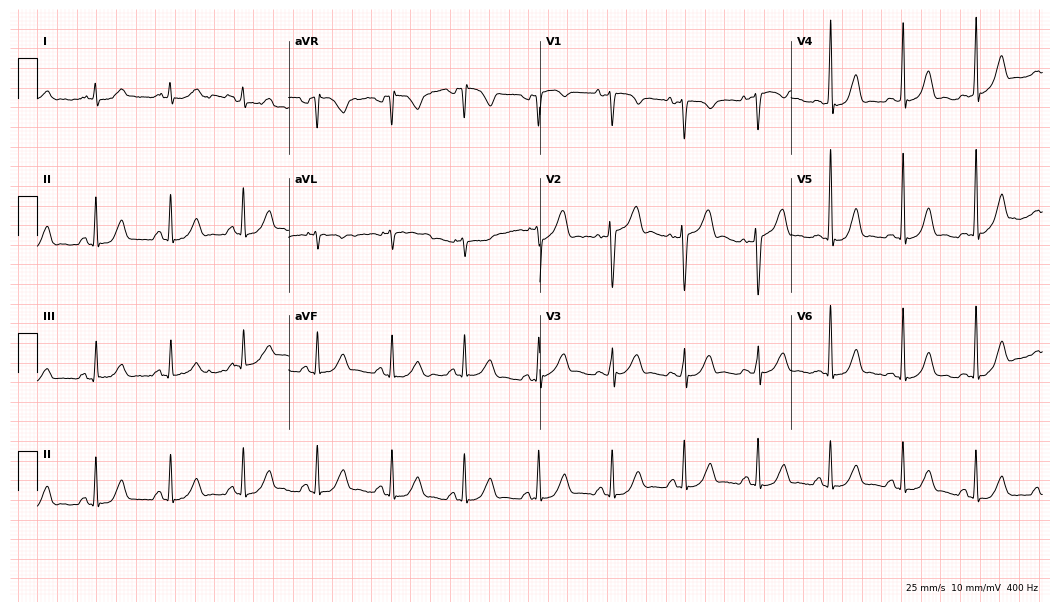
12-lead ECG (10.2-second recording at 400 Hz) from a 42-year-old female. Labelled as a normal ECG.